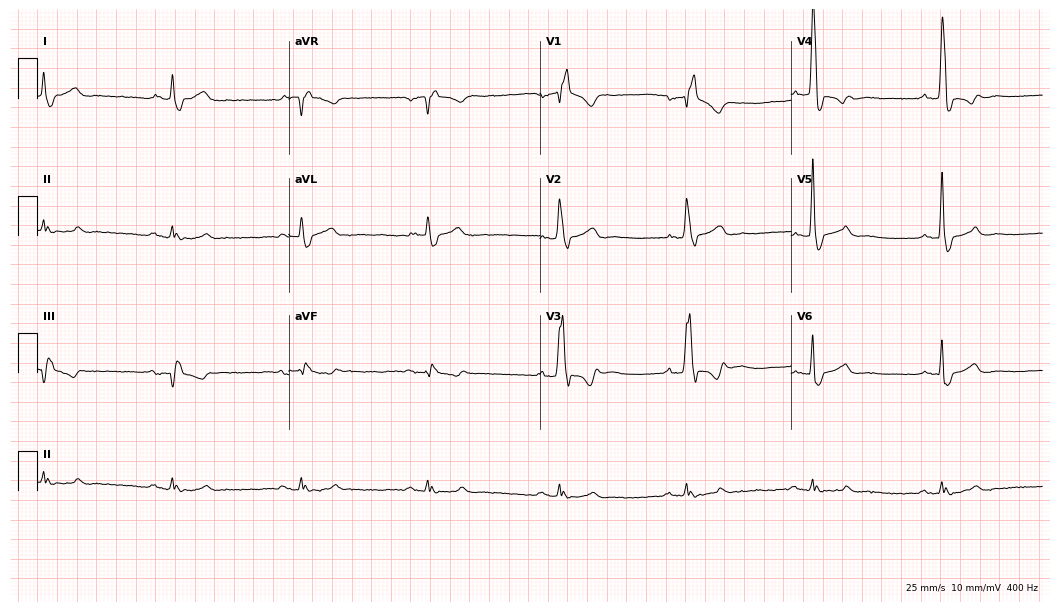
Standard 12-lead ECG recorded from a 65-year-old man (10.2-second recording at 400 Hz). The tracing shows right bundle branch block, sinus bradycardia (a sinus rate of 50 beats per minute or less).